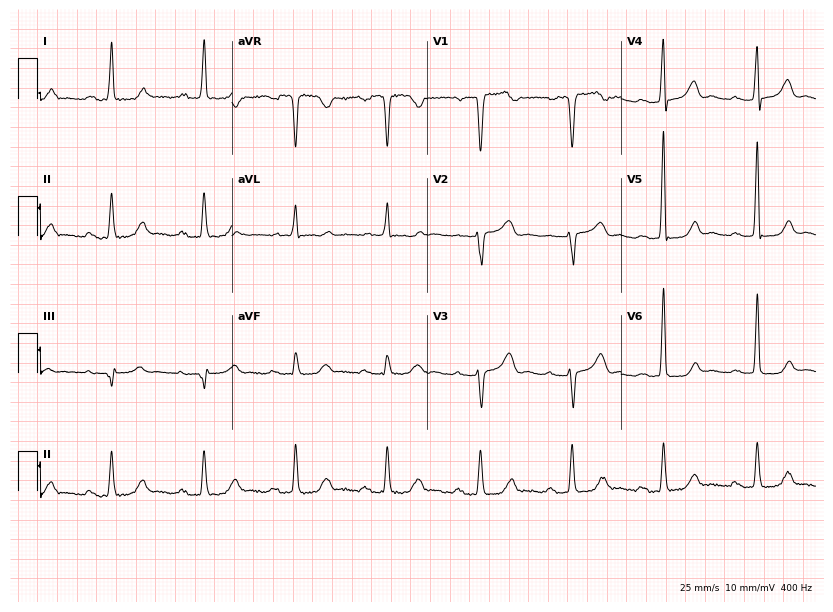
Electrocardiogram, a female patient, 79 years old. Interpretation includes first-degree AV block.